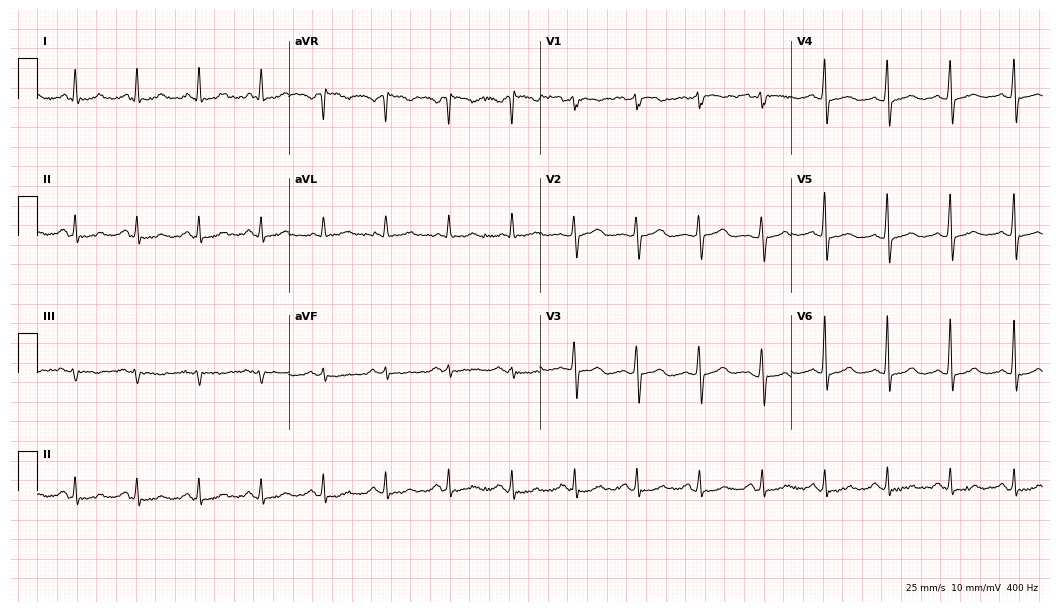
12-lead ECG from a female patient, 64 years old (10.2-second recording at 400 Hz). Recorded interpretation: within normal limits.